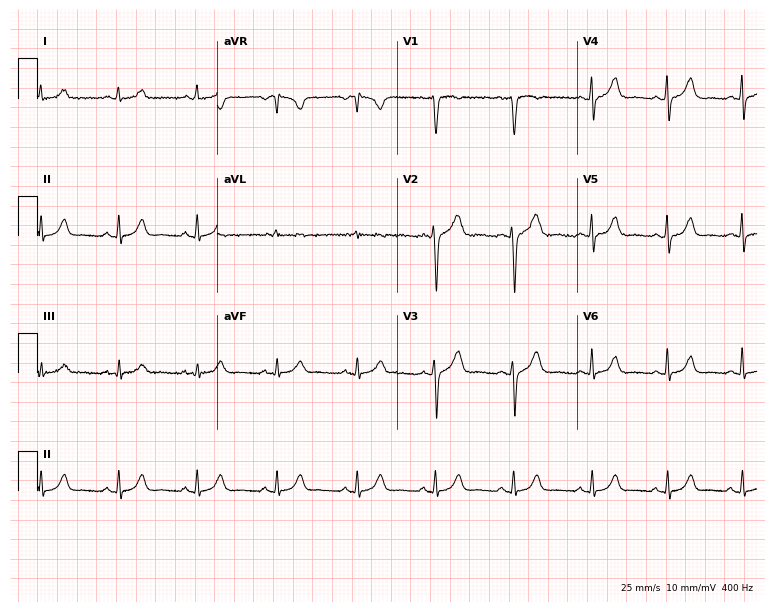
Electrocardiogram, a female patient, 30 years old. Of the six screened findings (first-degree AV block, right bundle branch block, left bundle branch block, sinus bradycardia, atrial fibrillation, sinus tachycardia), none is recorded.